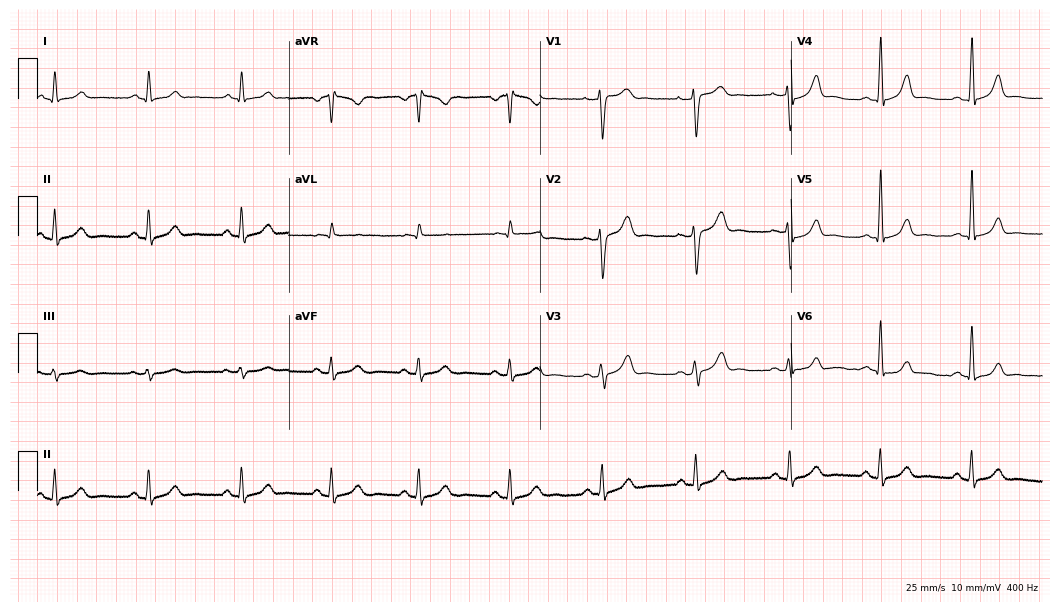
ECG (10.2-second recording at 400 Hz) — a 43-year-old woman. Labelled as a normal ECG.